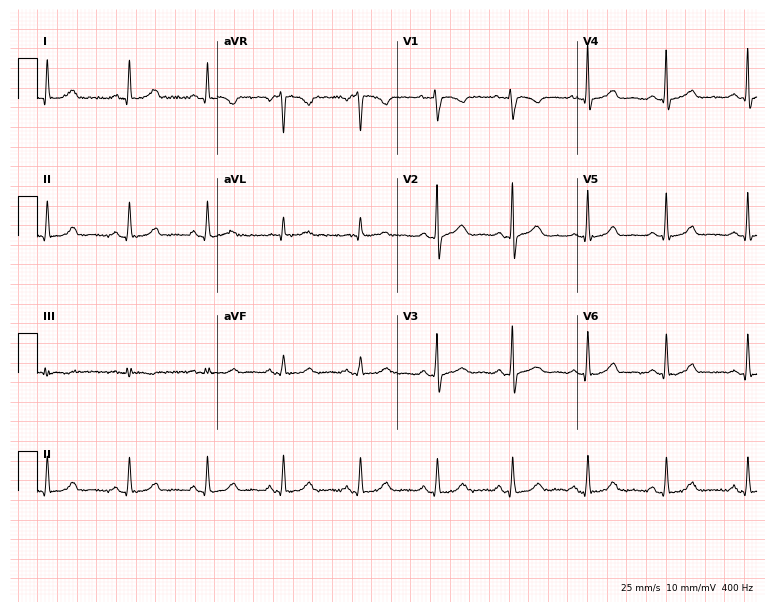
Electrocardiogram, a woman, 42 years old. Overall reading on record: normal ECG.